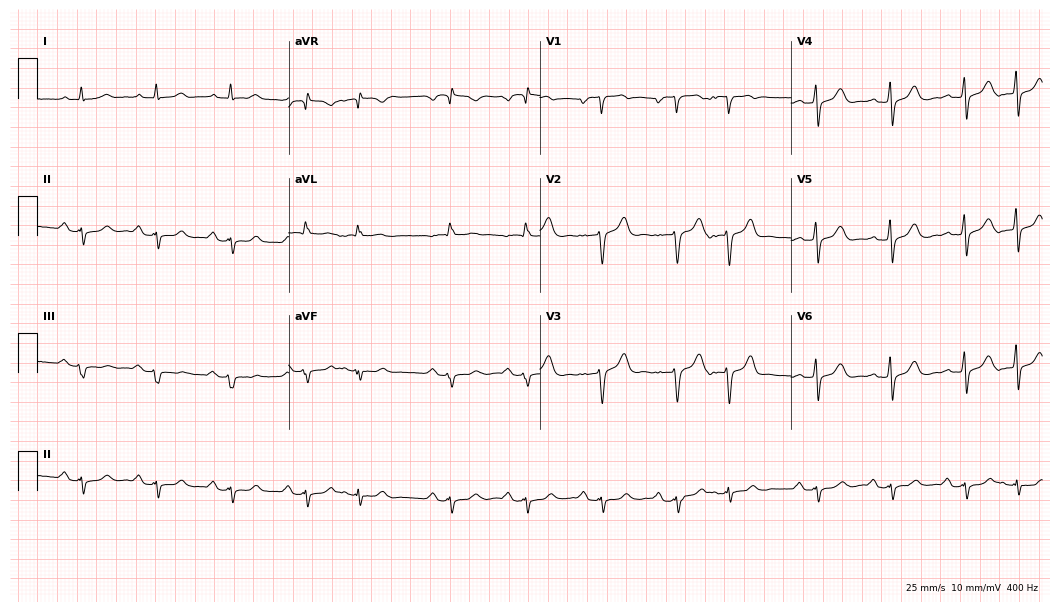
Standard 12-lead ECG recorded from a 77-year-old male (10.2-second recording at 400 Hz). None of these six findings is recorded: first-degree AV block, right bundle branch block, left bundle branch block, sinus bradycardia, atrial fibrillation, sinus tachycardia. Findings outside these six are not listed.